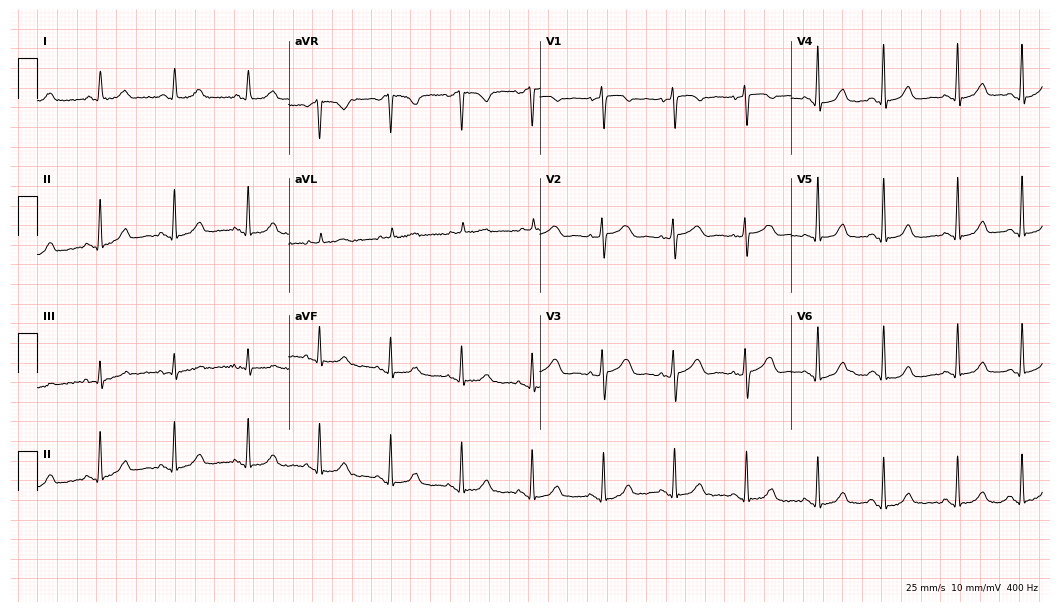
ECG (10.2-second recording at 400 Hz) — an 82-year-old female. Labelled as a normal ECG.